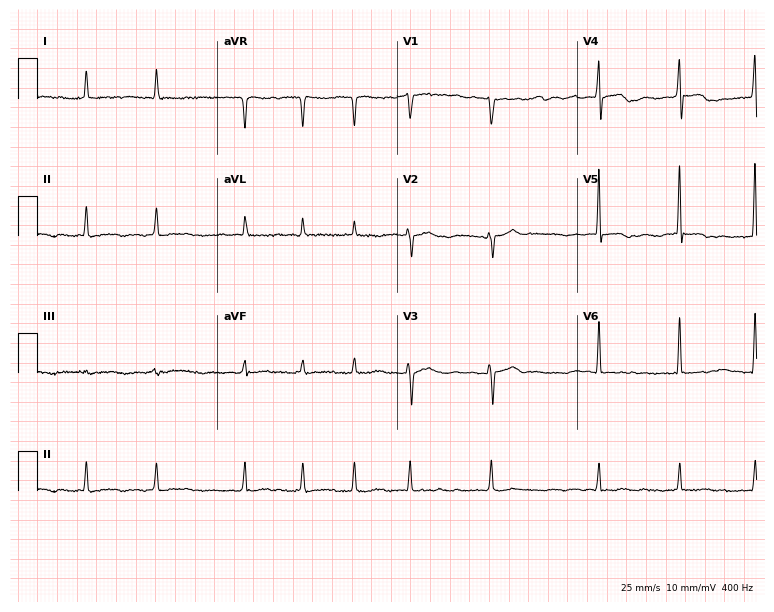
Standard 12-lead ECG recorded from a female, 77 years old (7.3-second recording at 400 Hz). The tracing shows atrial fibrillation (AF).